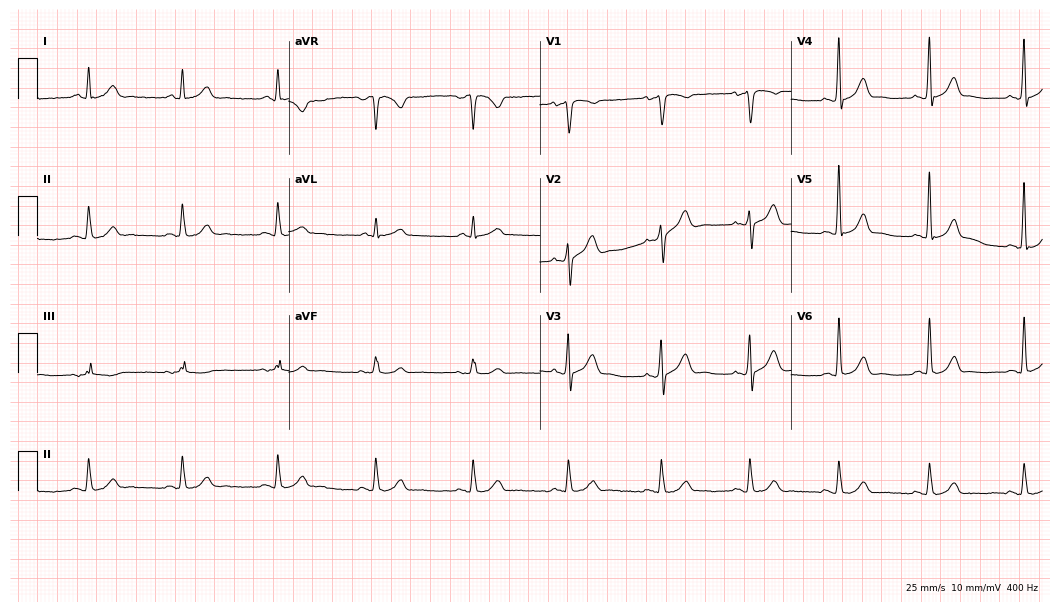
12-lead ECG from a man, 40 years old (10.2-second recording at 400 Hz). Recorded interpretation: within normal limits.